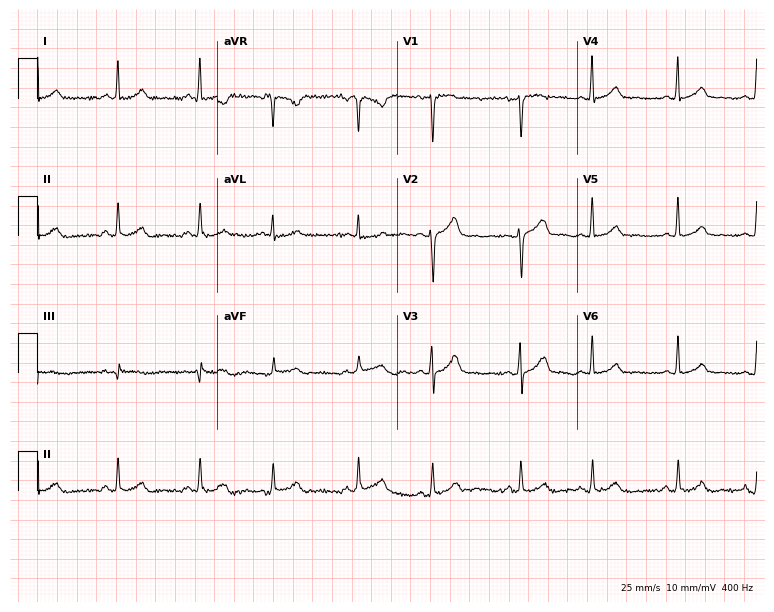
12-lead ECG from a 37-year-old woman (7.3-second recording at 400 Hz). Recorded interpretation: within normal limits.